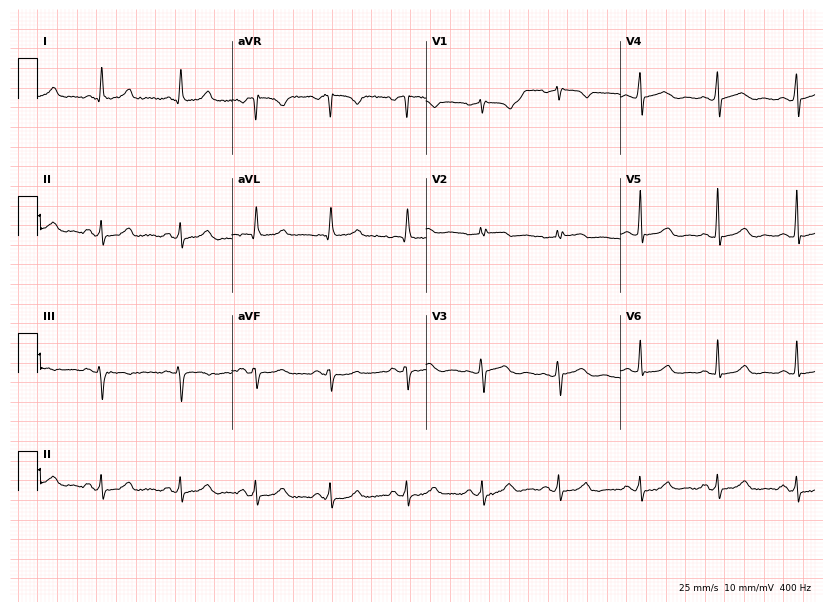
12-lead ECG from a female, 63 years old. Recorded interpretation: within normal limits.